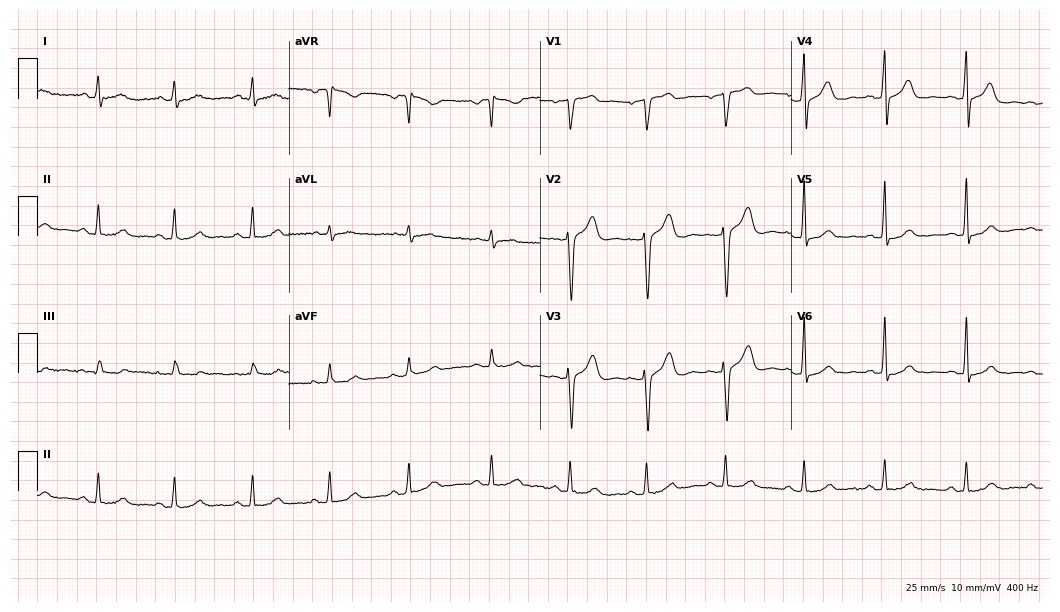
Electrocardiogram (10.2-second recording at 400 Hz), a 62-year-old female. Overall reading on record: normal ECG.